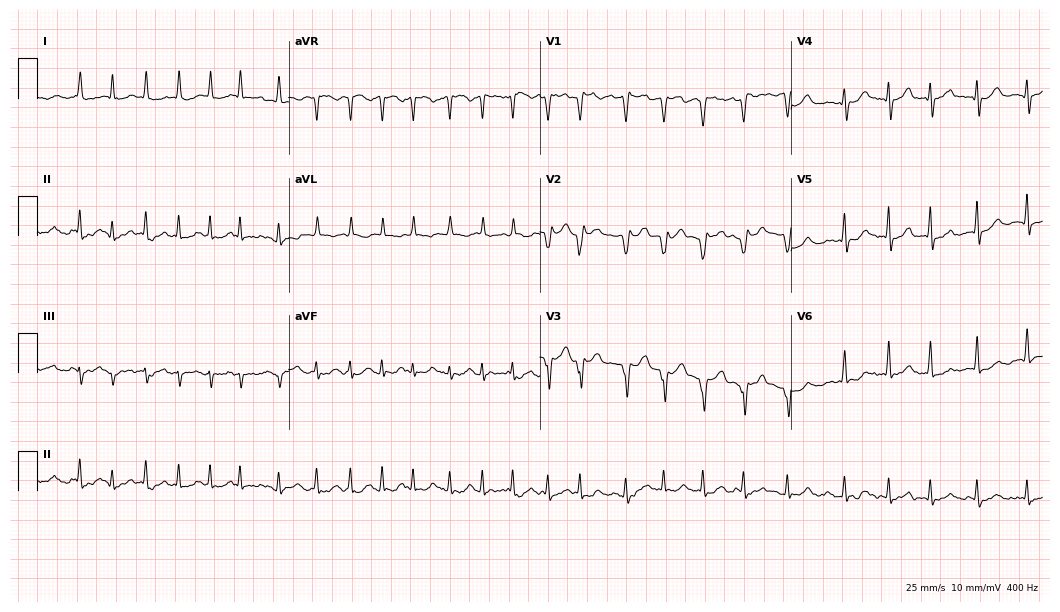
12-lead ECG (10.2-second recording at 400 Hz) from an 85-year-old man. Findings include atrial fibrillation (AF).